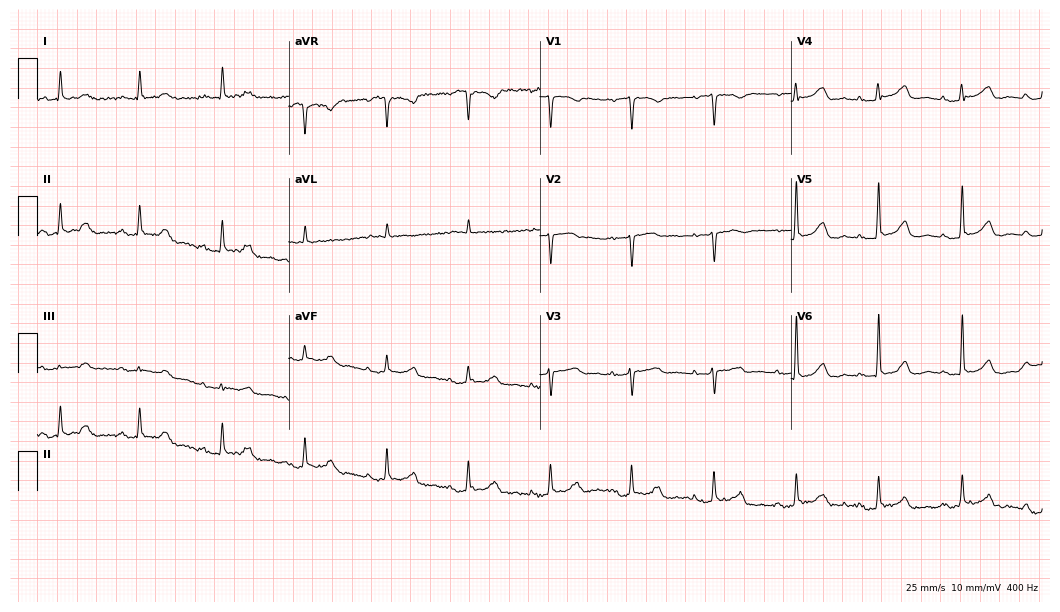
12-lead ECG (10.2-second recording at 400 Hz) from a female patient, 70 years old. Labelled as a normal ECG.